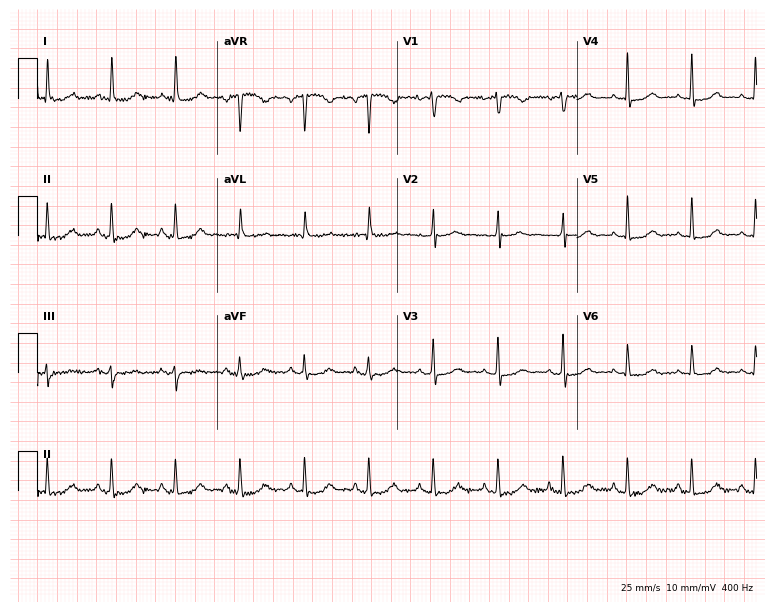
12-lead ECG from a female, 67 years old (7.3-second recording at 400 Hz). No first-degree AV block, right bundle branch block, left bundle branch block, sinus bradycardia, atrial fibrillation or sinus tachycardia recorded for this tracing.